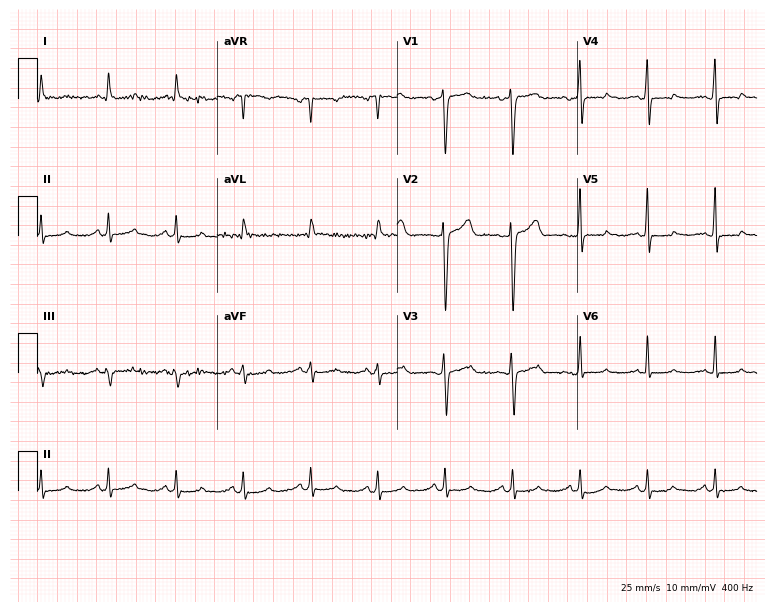
ECG — a 39-year-old male. Screened for six findings — first-degree AV block, right bundle branch block, left bundle branch block, sinus bradycardia, atrial fibrillation, sinus tachycardia — none is recorded. Other findings, if any, are not listed.